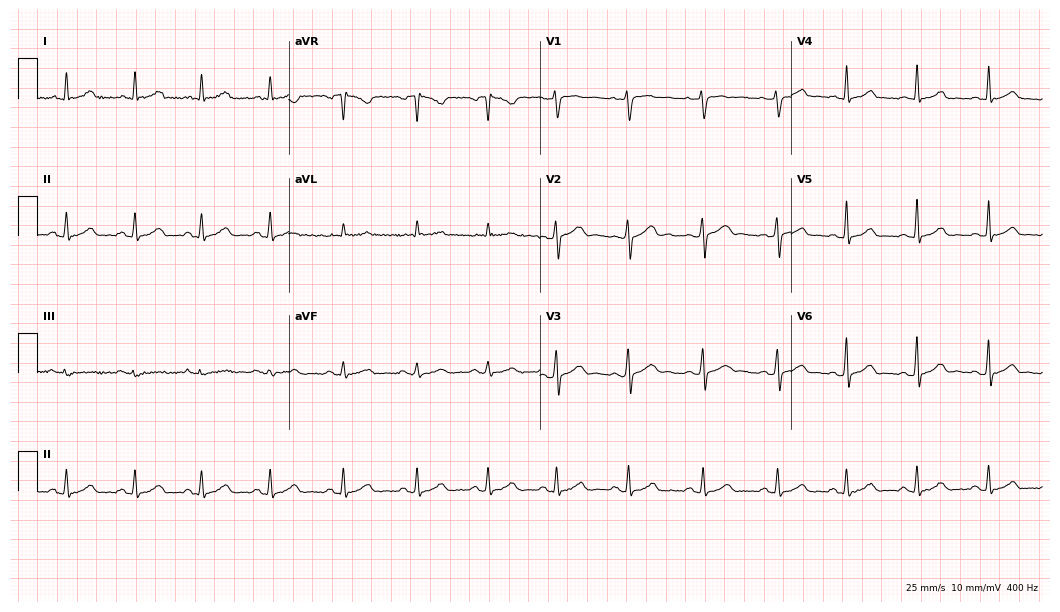
Standard 12-lead ECG recorded from a 42-year-old female patient (10.2-second recording at 400 Hz). Read as a normal ECG.